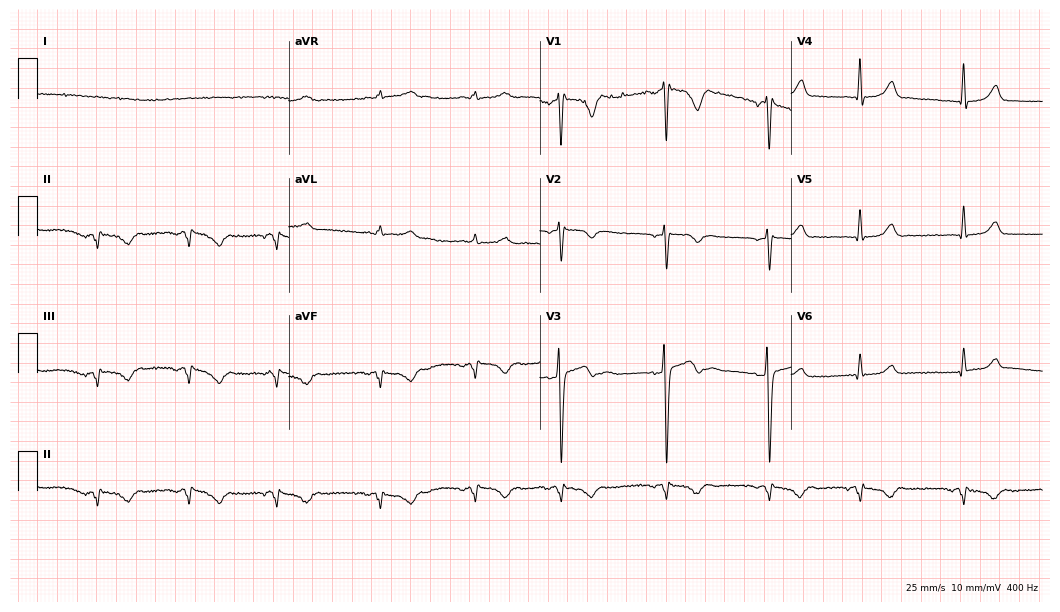
12-lead ECG from a woman, 22 years old. No first-degree AV block, right bundle branch block, left bundle branch block, sinus bradycardia, atrial fibrillation or sinus tachycardia recorded for this tracing.